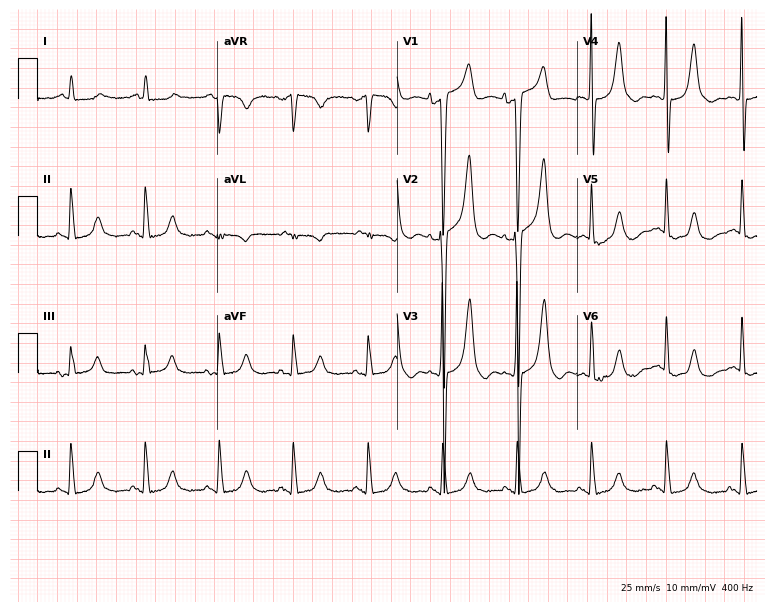
ECG — a woman, 78 years old. Screened for six findings — first-degree AV block, right bundle branch block, left bundle branch block, sinus bradycardia, atrial fibrillation, sinus tachycardia — none is recorded.